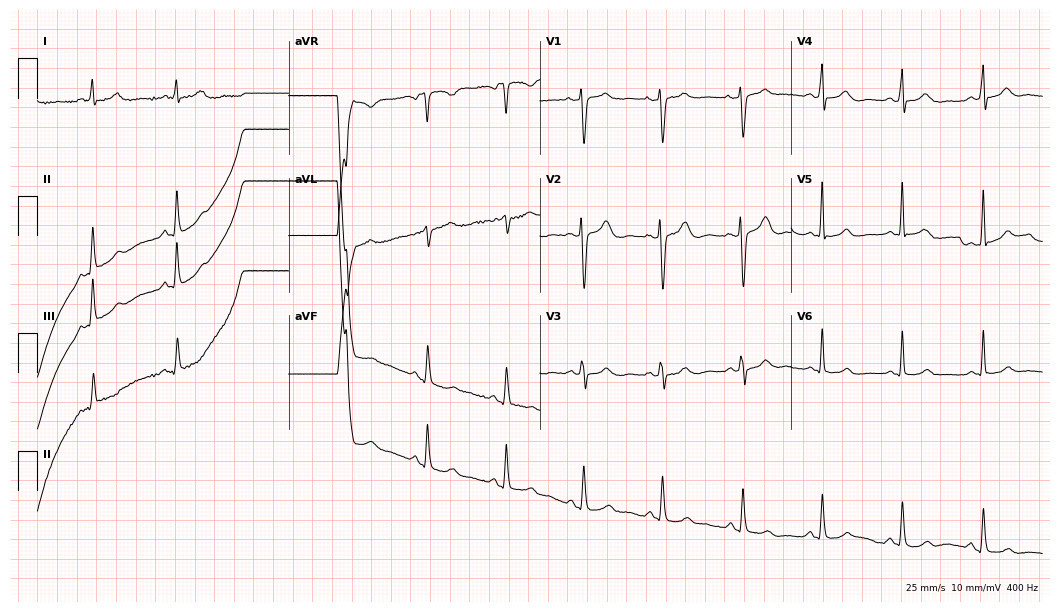
Resting 12-lead electrocardiogram (10.2-second recording at 400 Hz). Patient: a 46-year-old woman. Read as a normal ECG.